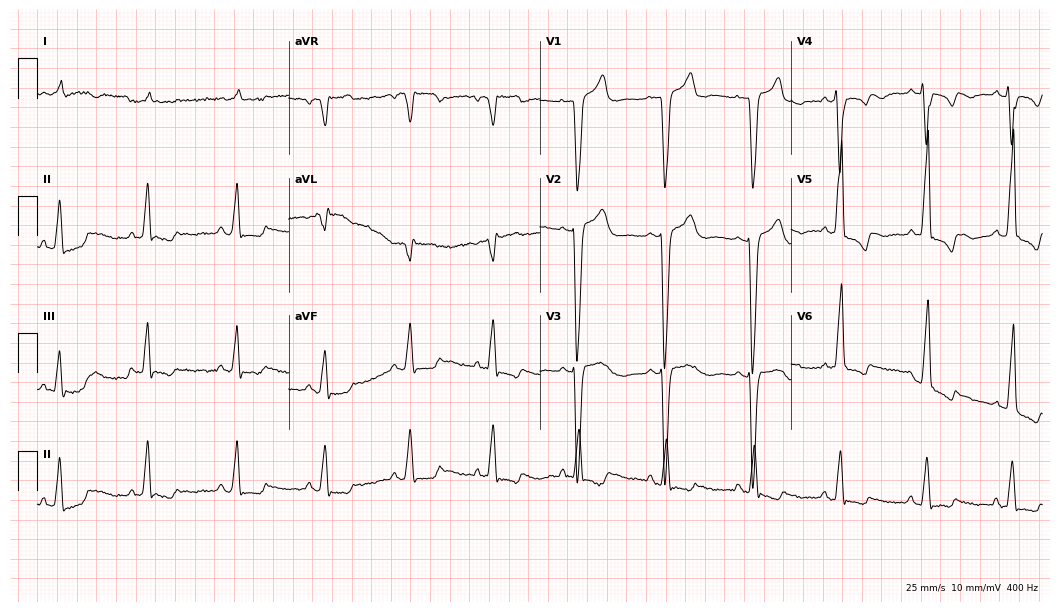
Standard 12-lead ECG recorded from a 60-year-old male patient. None of these six findings is recorded: first-degree AV block, right bundle branch block, left bundle branch block, sinus bradycardia, atrial fibrillation, sinus tachycardia. Only these six findings were labelled.